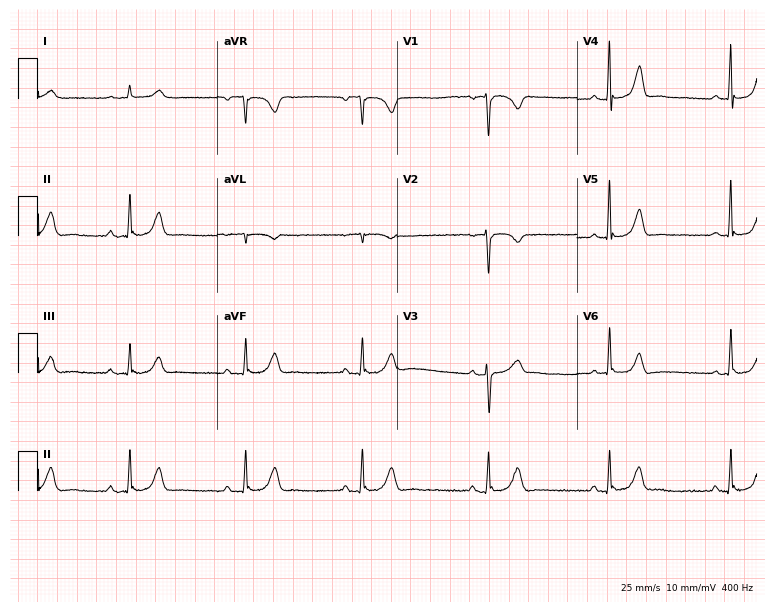
12-lead ECG from a 47-year-old female patient (7.3-second recording at 400 Hz). Shows sinus bradycardia (a sinus rate of 50 beats per minute or less).